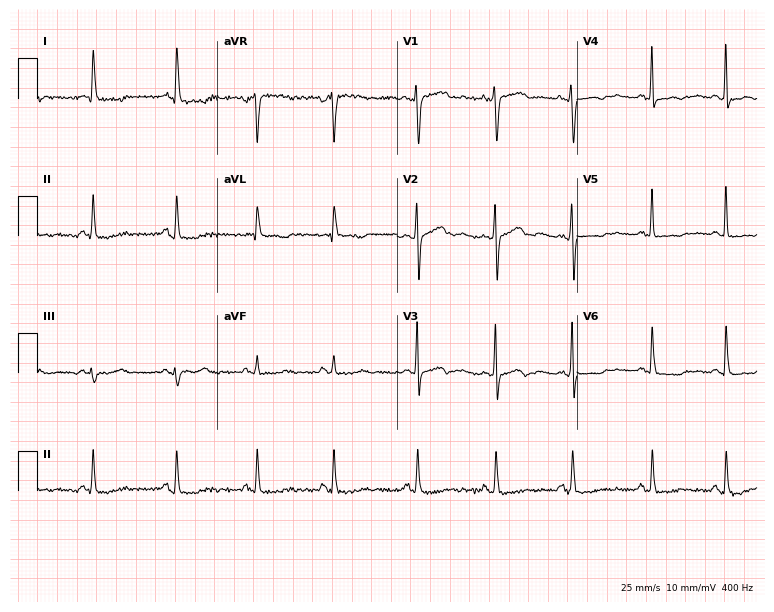
Electrocardiogram (7.3-second recording at 400 Hz), a 66-year-old female patient. Of the six screened findings (first-degree AV block, right bundle branch block (RBBB), left bundle branch block (LBBB), sinus bradycardia, atrial fibrillation (AF), sinus tachycardia), none is recorded.